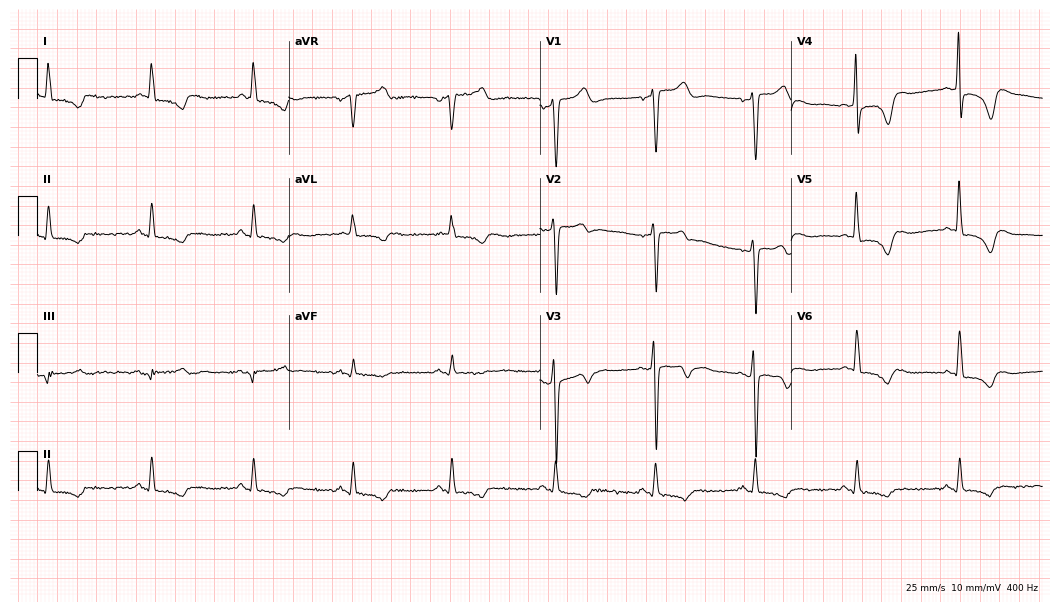
ECG (10.2-second recording at 400 Hz) — a 52-year-old female. Labelled as a normal ECG.